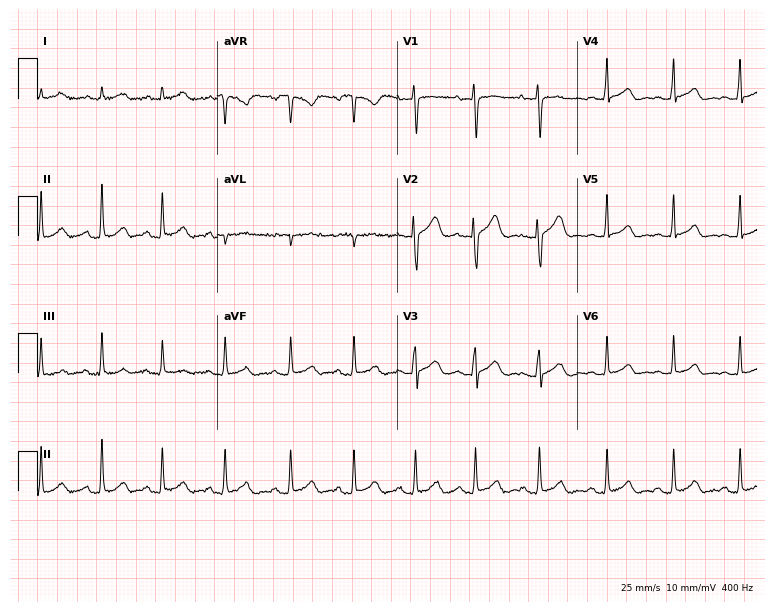
Resting 12-lead electrocardiogram. Patient: a female, 20 years old. None of these six findings is recorded: first-degree AV block, right bundle branch block, left bundle branch block, sinus bradycardia, atrial fibrillation, sinus tachycardia.